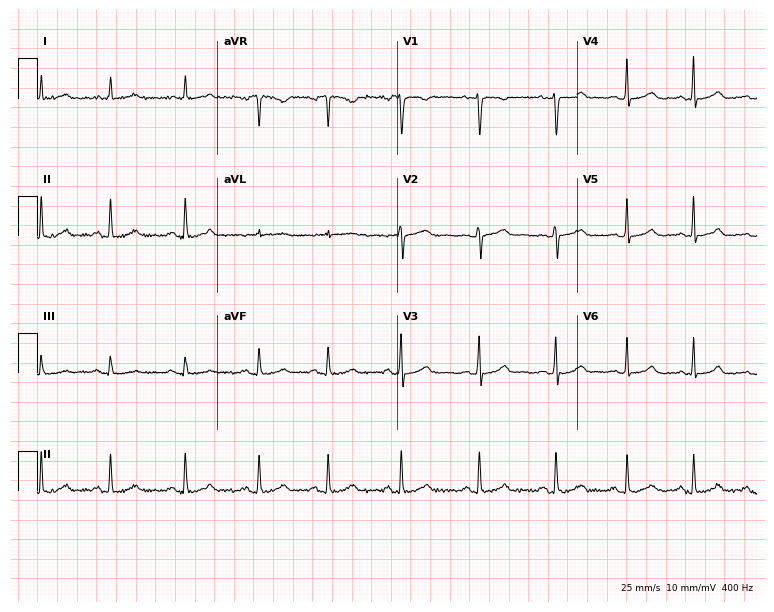
ECG (7.3-second recording at 400 Hz) — a 26-year-old female patient. Labelled as a normal ECG.